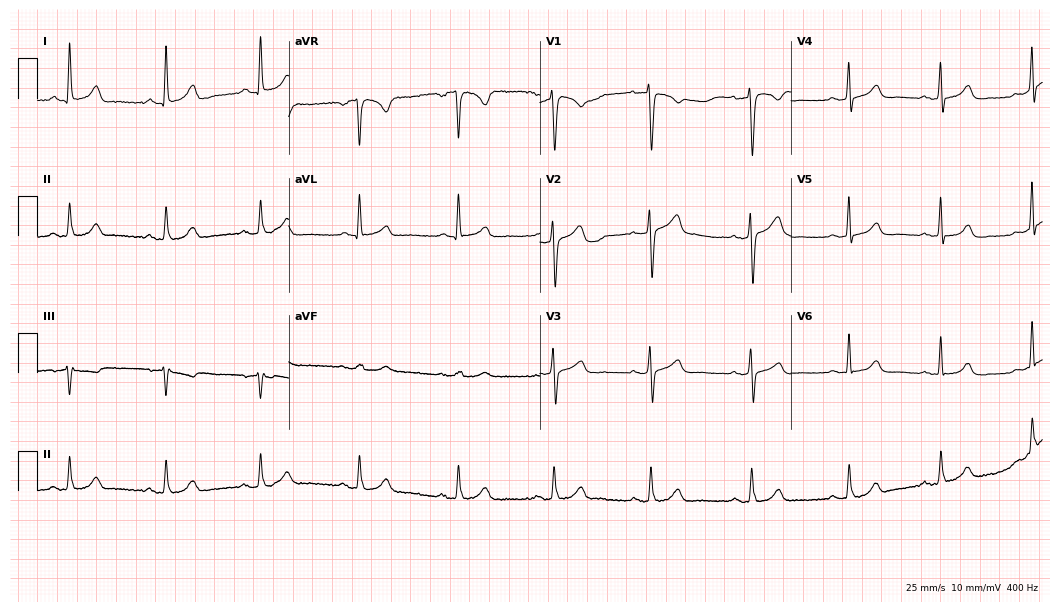
Resting 12-lead electrocardiogram (10.2-second recording at 400 Hz). Patient: a 54-year-old female. Read as a normal ECG.